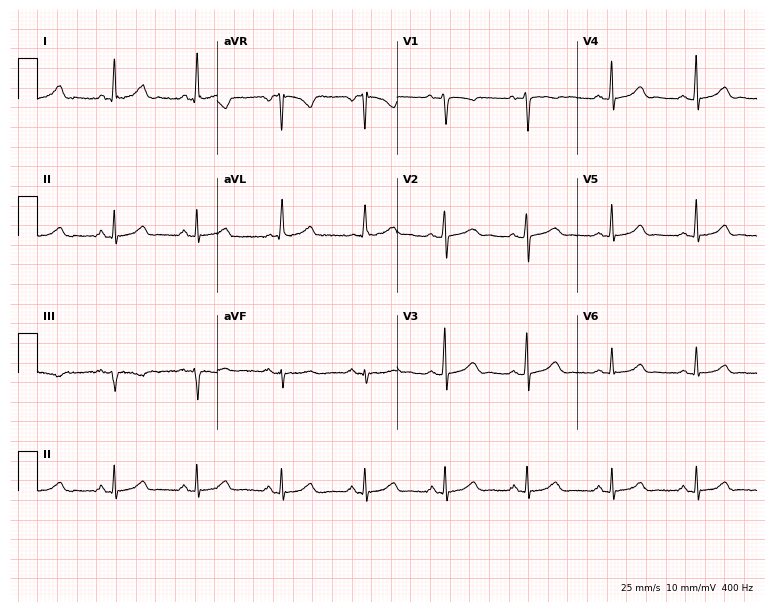
Resting 12-lead electrocardiogram (7.3-second recording at 400 Hz). Patient: a female, 59 years old. Read as a normal ECG.